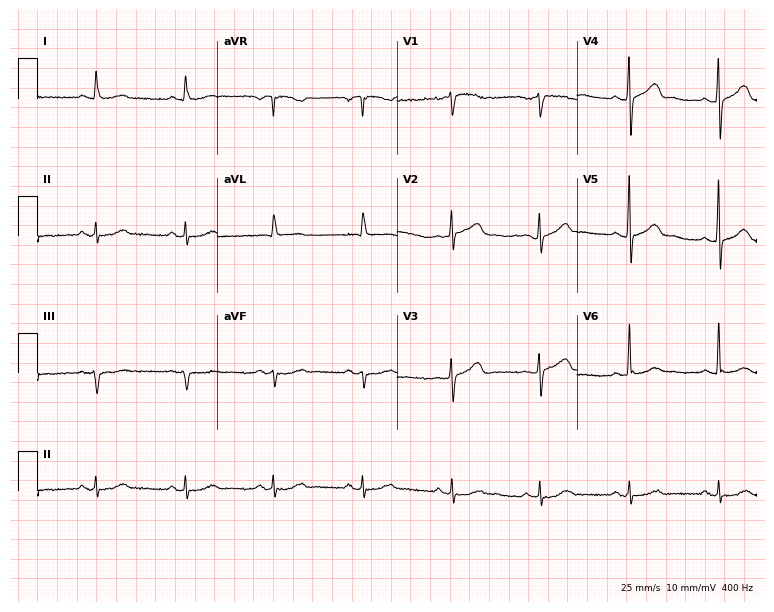
12-lead ECG (7.3-second recording at 400 Hz) from a 62-year-old male. Screened for six findings — first-degree AV block, right bundle branch block, left bundle branch block, sinus bradycardia, atrial fibrillation, sinus tachycardia — none is recorded.